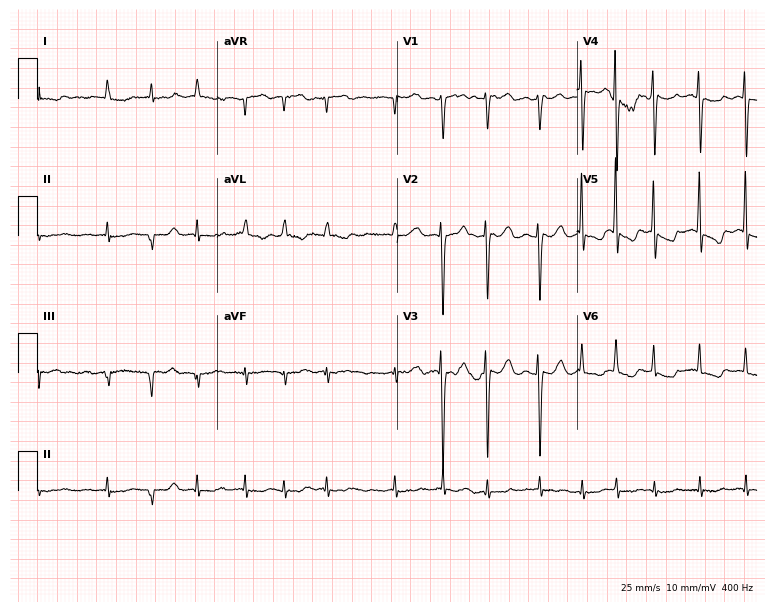
Standard 12-lead ECG recorded from a 66-year-old male patient. The tracing shows atrial fibrillation (AF).